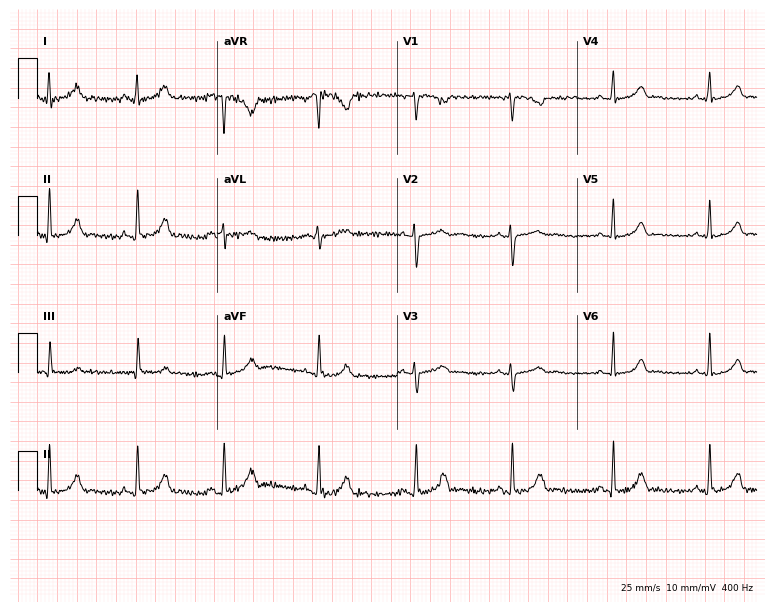
ECG (7.3-second recording at 400 Hz) — a woman, 30 years old. Labelled as a normal ECG.